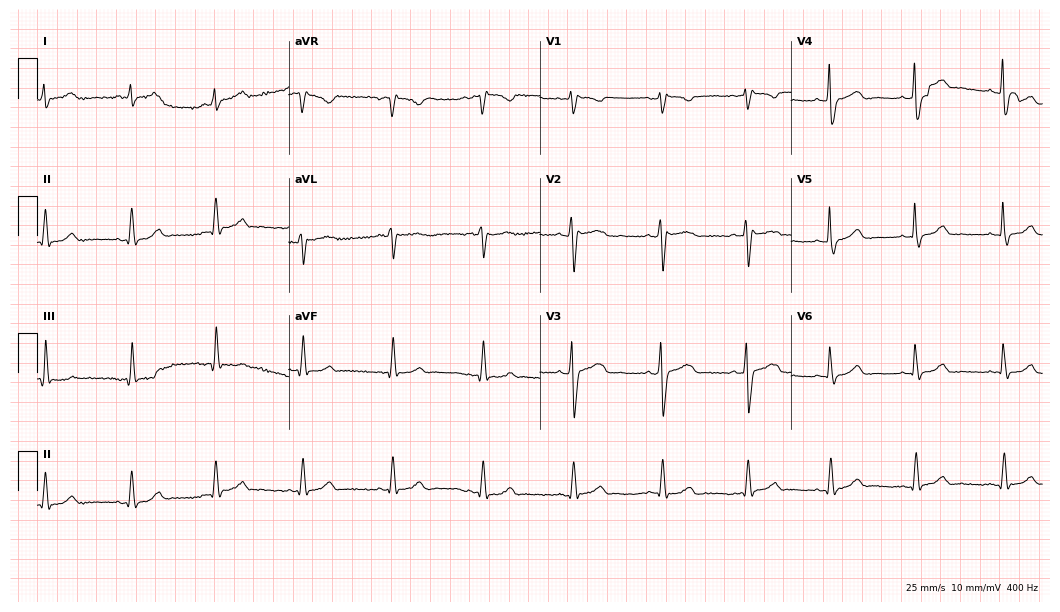
Electrocardiogram, a female, 30 years old. Interpretation includes right bundle branch block (RBBB).